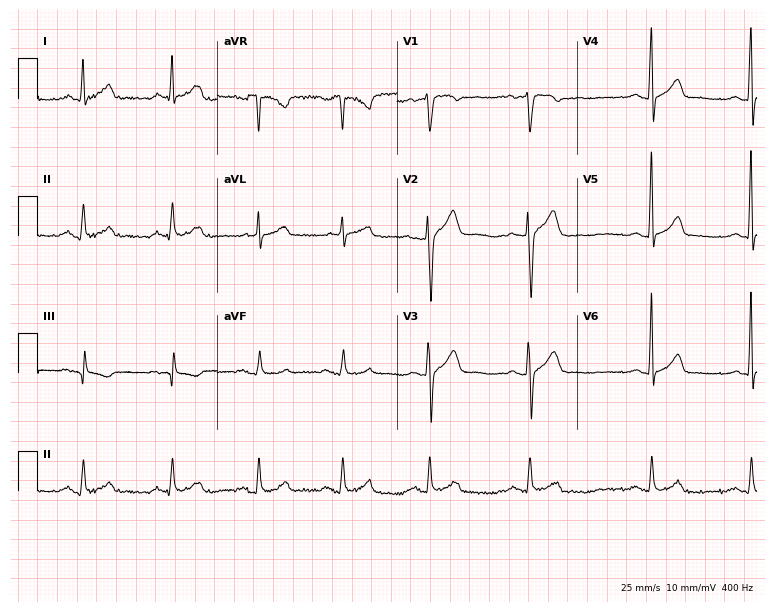
Resting 12-lead electrocardiogram. Patient: a male, 47 years old. Read as a normal ECG.